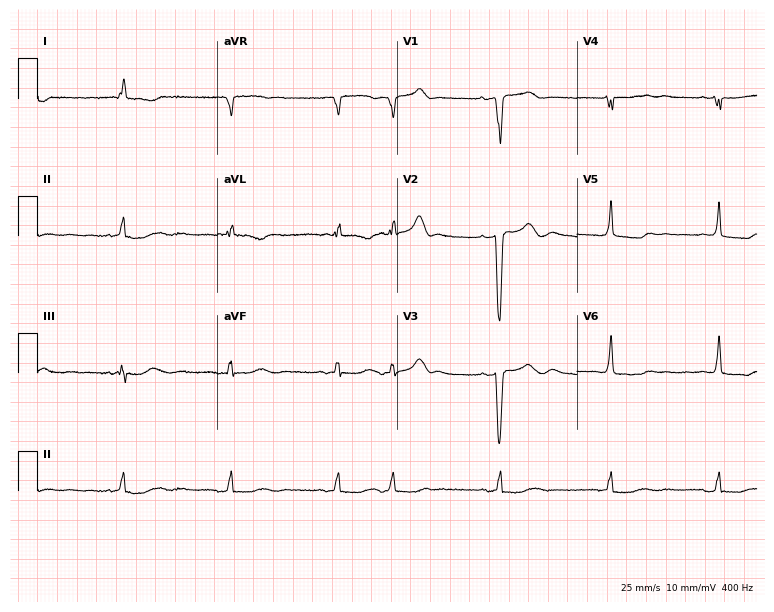
Electrocardiogram, a woman, 78 years old. Of the six screened findings (first-degree AV block, right bundle branch block, left bundle branch block, sinus bradycardia, atrial fibrillation, sinus tachycardia), none is recorded. Findings outside these six are not listed.